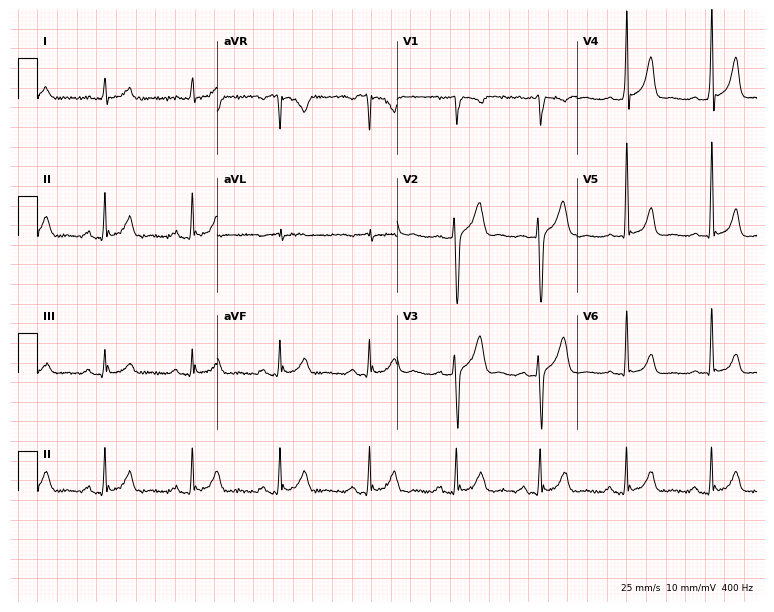
12-lead ECG from a male, 48 years old (7.3-second recording at 400 Hz). No first-degree AV block, right bundle branch block (RBBB), left bundle branch block (LBBB), sinus bradycardia, atrial fibrillation (AF) or sinus tachycardia recorded for this tracing.